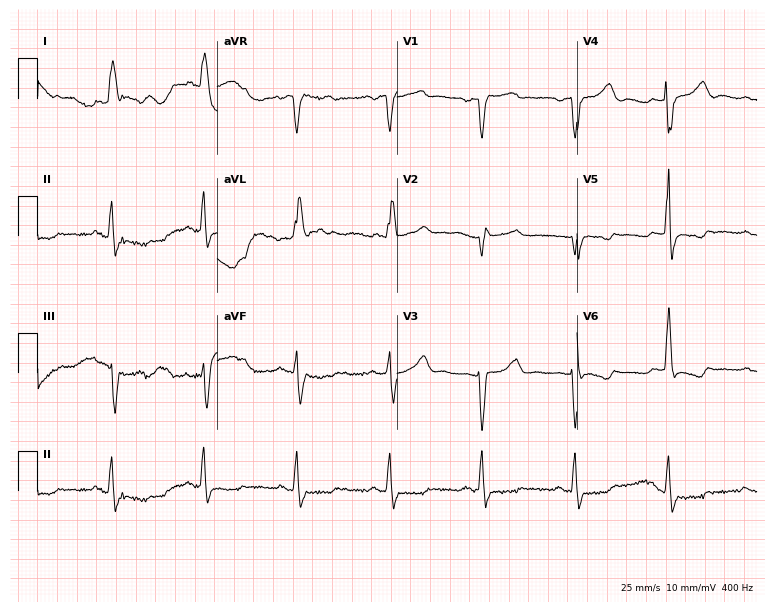
Resting 12-lead electrocardiogram. Patient: a female, 81 years old. None of these six findings is recorded: first-degree AV block, right bundle branch block, left bundle branch block, sinus bradycardia, atrial fibrillation, sinus tachycardia.